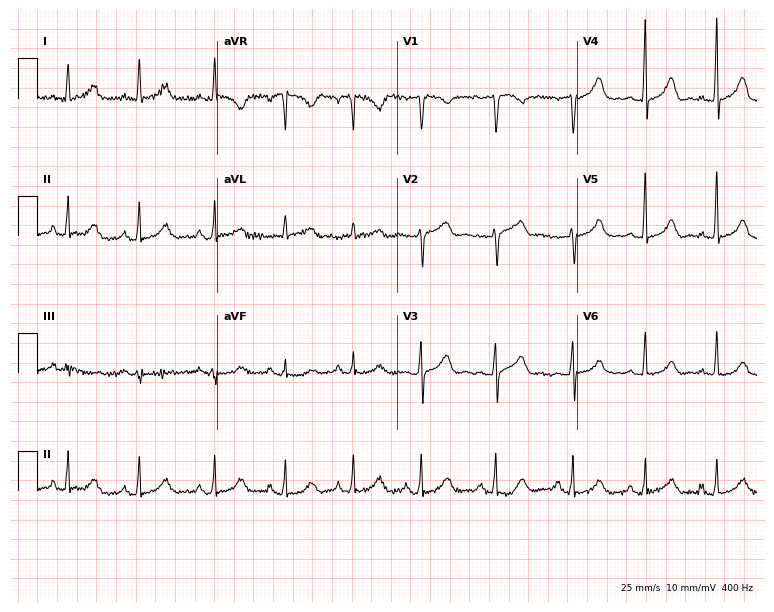
12-lead ECG (7.3-second recording at 400 Hz) from a female patient, 55 years old. Labelled as a normal ECG.